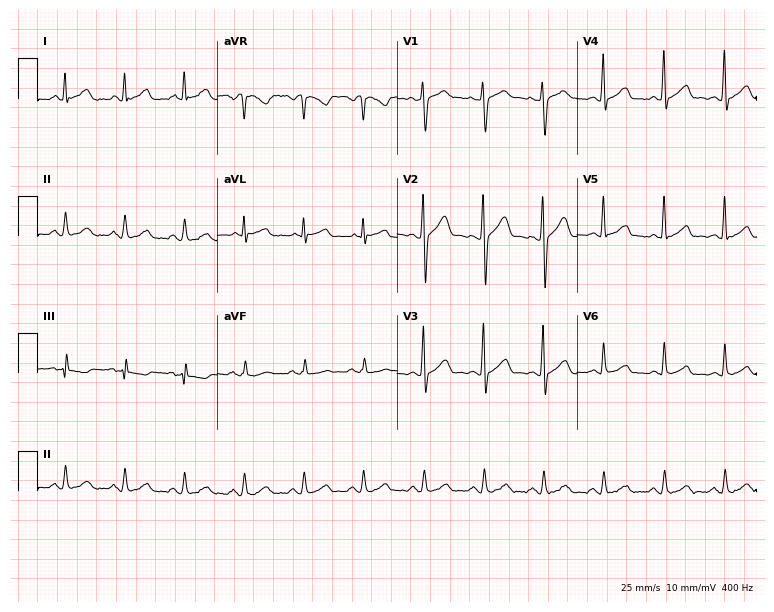
Resting 12-lead electrocardiogram. Patient: a male, 31 years old. None of these six findings is recorded: first-degree AV block, right bundle branch block (RBBB), left bundle branch block (LBBB), sinus bradycardia, atrial fibrillation (AF), sinus tachycardia. Other findings, if any, are not listed.